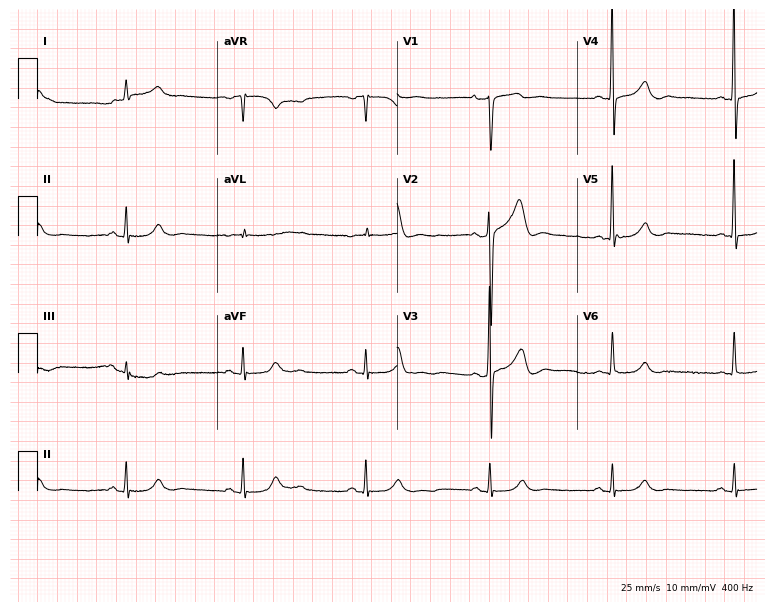
12-lead ECG from a male, 73 years old. Shows sinus bradycardia (a sinus rate of 50 beats per minute or less).